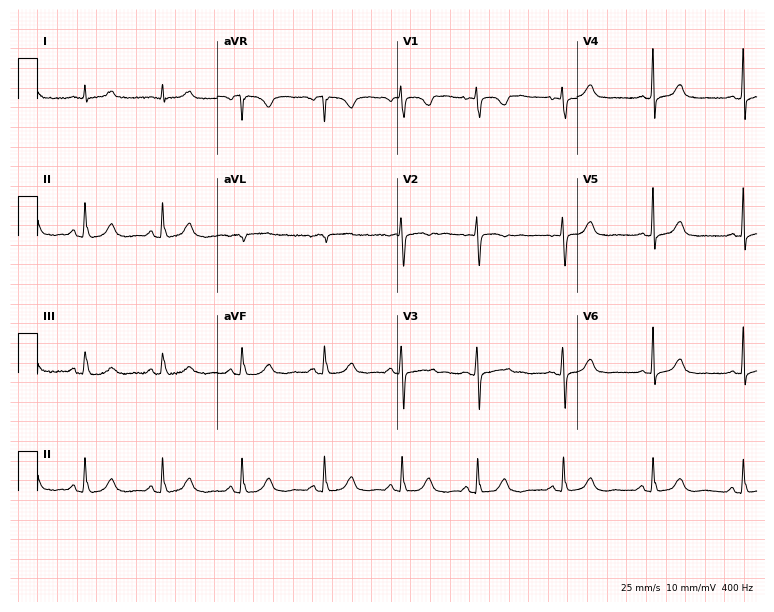
12-lead ECG from a 70-year-old woman. Labelled as a normal ECG.